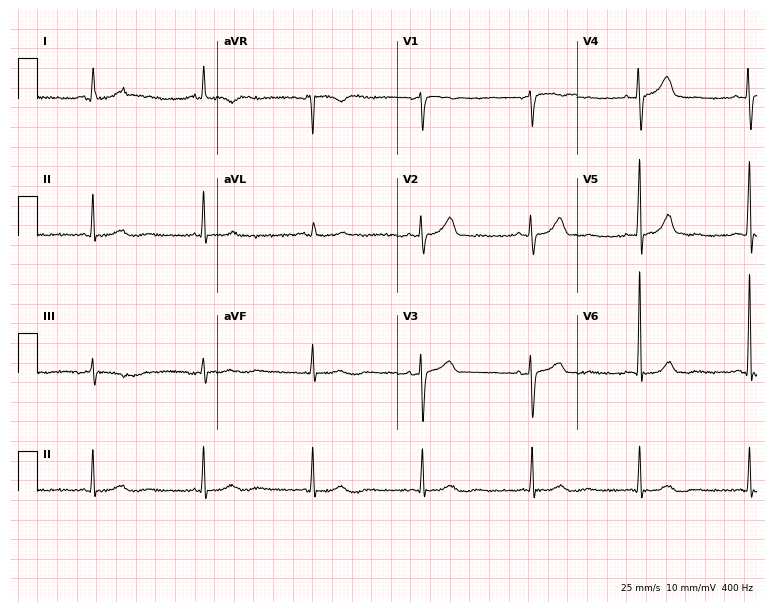
ECG (7.3-second recording at 400 Hz) — a 66-year-old female. Labelled as a normal ECG.